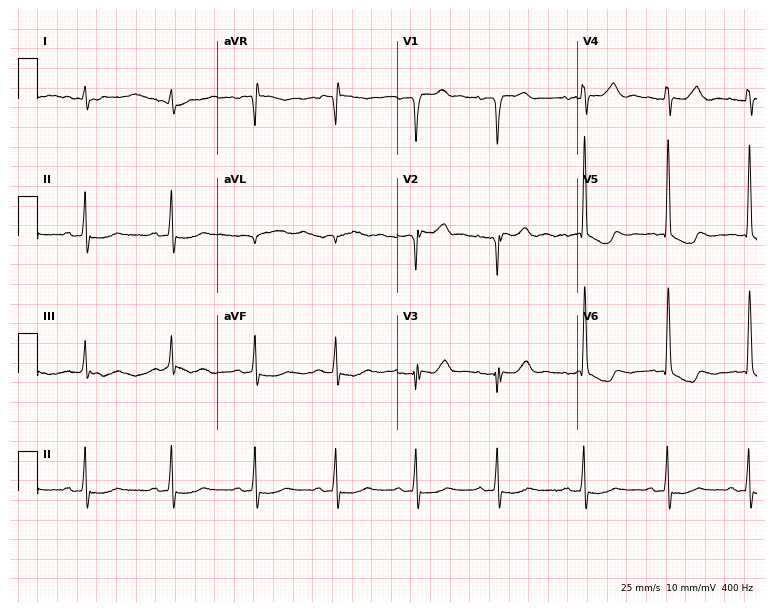
ECG (7.3-second recording at 400 Hz) — an 82-year-old female patient. Screened for six findings — first-degree AV block, right bundle branch block, left bundle branch block, sinus bradycardia, atrial fibrillation, sinus tachycardia — none is recorded.